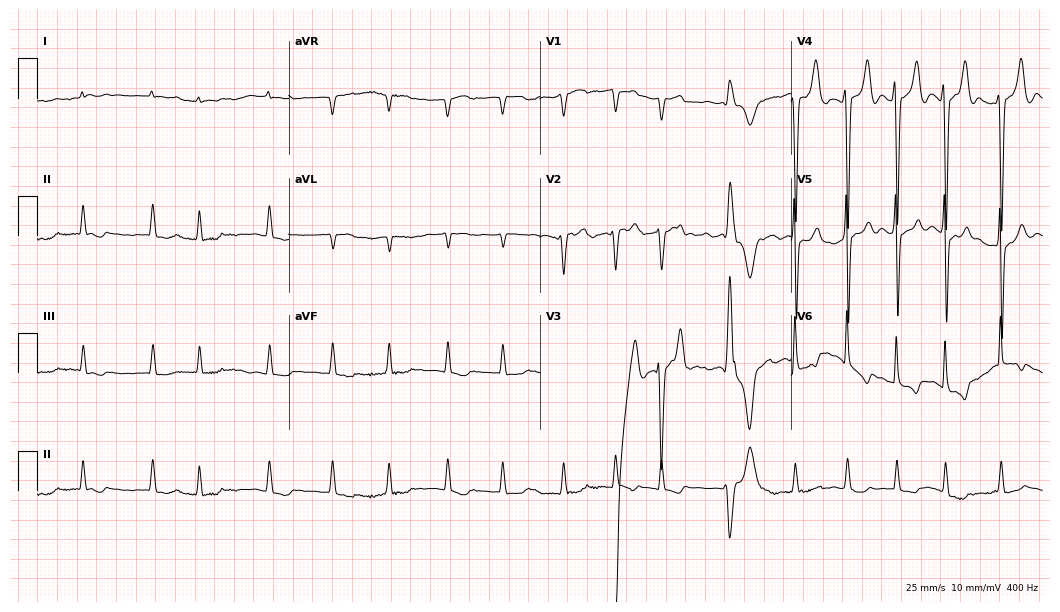
ECG (10.2-second recording at 400 Hz) — a man, 72 years old. Screened for six findings — first-degree AV block, right bundle branch block, left bundle branch block, sinus bradycardia, atrial fibrillation, sinus tachycardia — none is recorded.